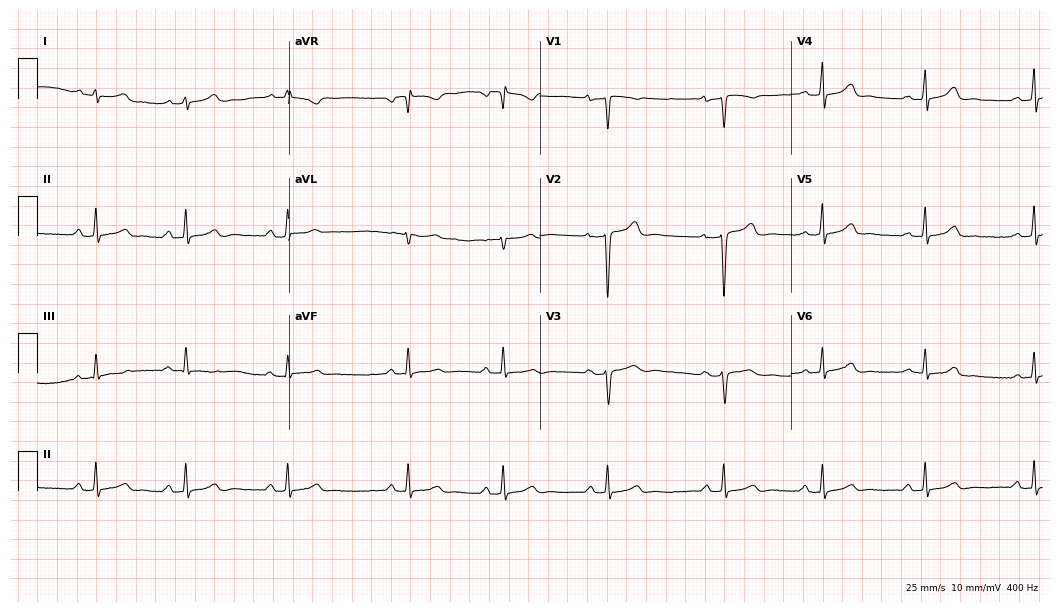
Standard 12-lead ECG recorded from a woman, 27 years old. None of these six findings is recorded: first-degree AV block, right bundle branch block (RBBB), left bundle branch block (LBBB), sinus bradycardia, atrial fibrillation (AF), sinus tachycardia.